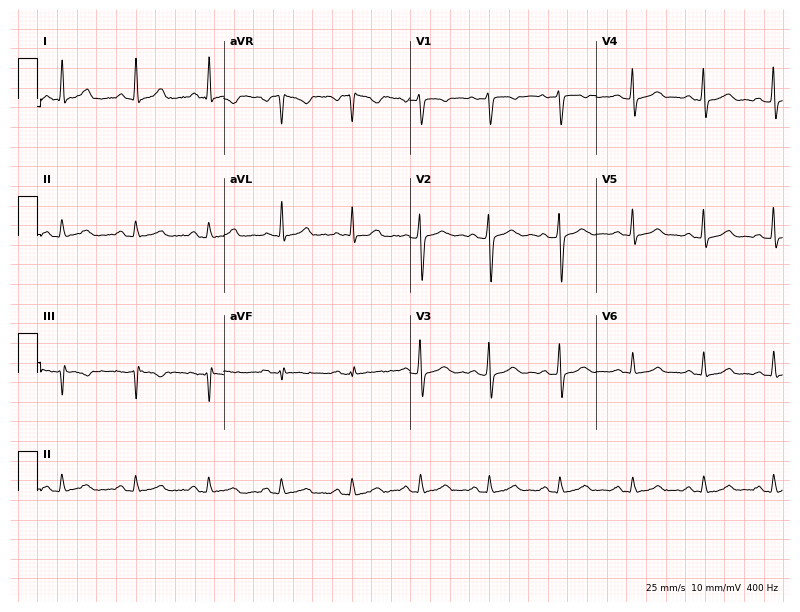
Standard 12-lead ECG recorded from a 43-year-old female patient. Read as a normal ECG.